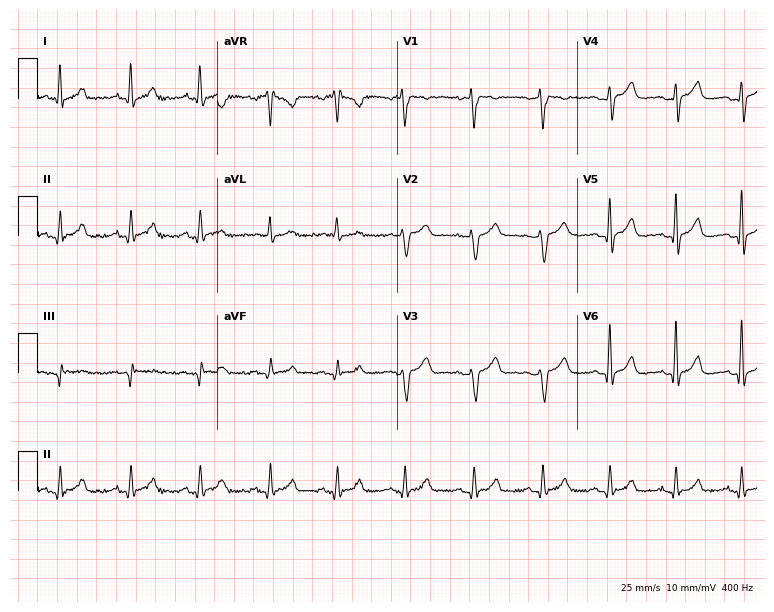
12-lead ECG (7.3-second recording at 400 Hz) from a male patient, 41 years old. Screened for six findings — first-degree AV block, right bundle branch block (RBBB), left bundle branch block (LBBB), sinus bradycardia, atrial fibrillation (AF), sinus tachycardia — none is recorded. Only these six findings were labelled.